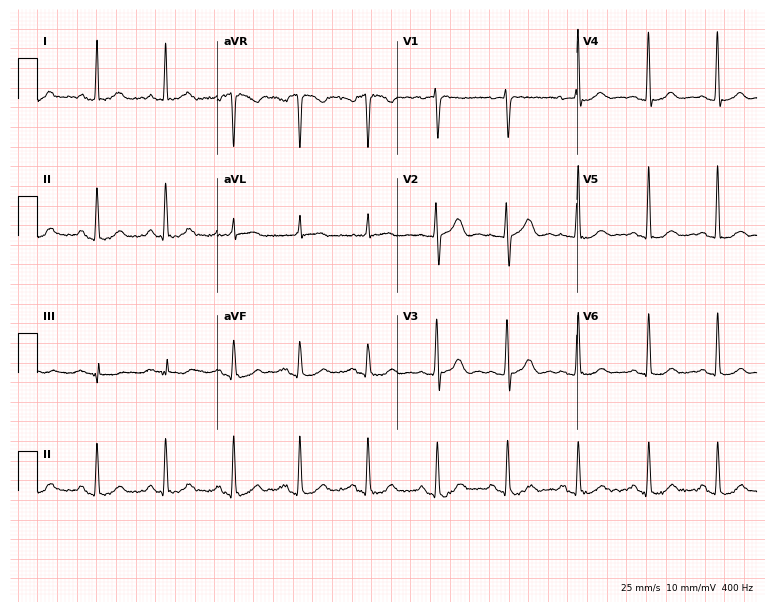
12-lead ECG from a 59-year-old female. Labelled as a normal ECG.